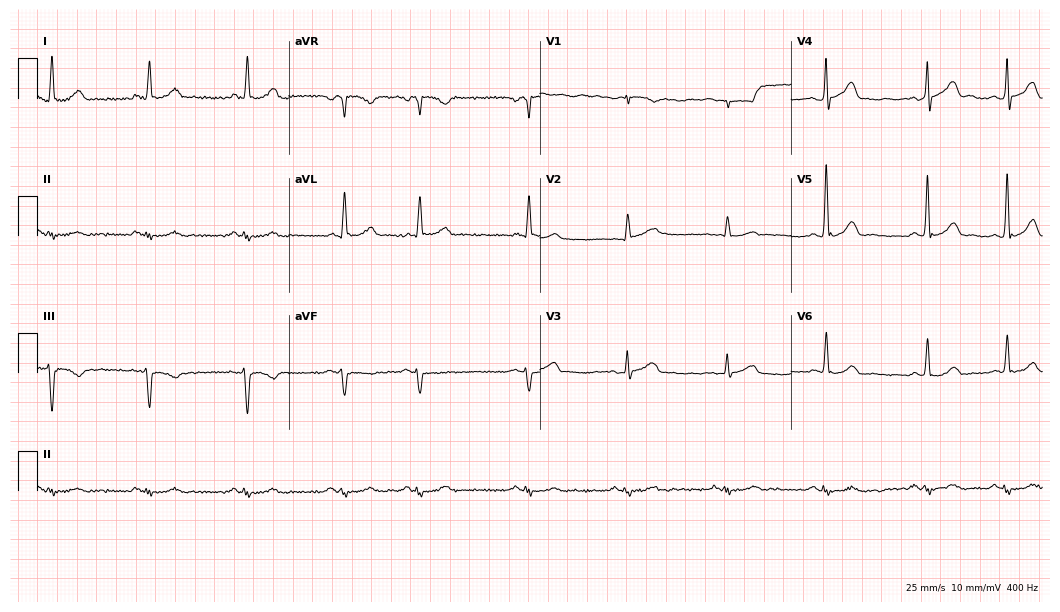
Resting 12-lead electrocardiogram (10.2-second recording at 400 Hz). Patient: a male, 76 years old. None of these six findings is recorded: first-degree AV block, right bundle branch block, left bundle branch block, sinus bradycardia, atrial fibrillation, sinus tachycardia.